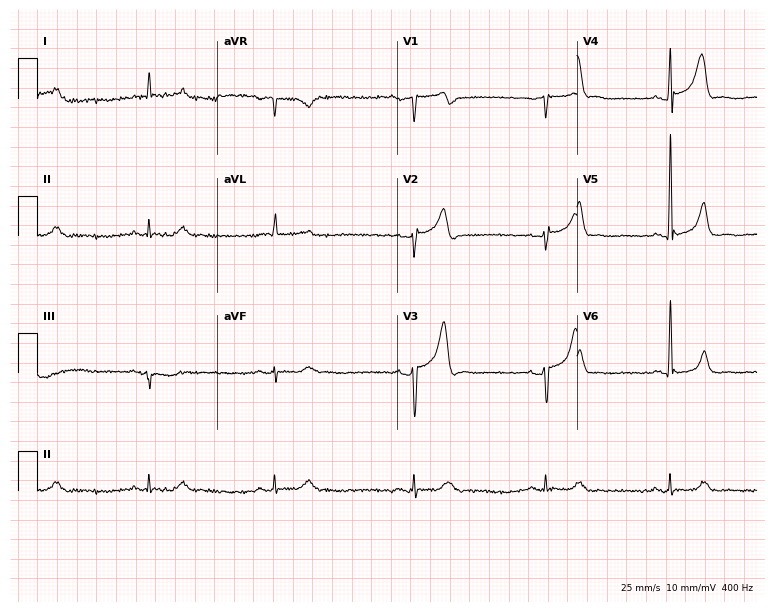
Electrocardiogram, a 53-year-old male. Interpretation includes sinus bradycardia (a sinus rate of 50 beats per minute or less).